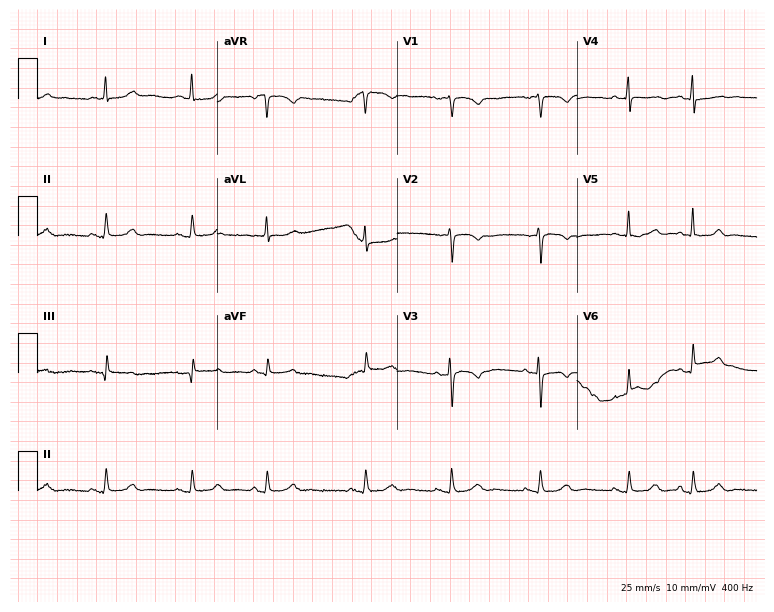
Resting 12-lead electrocardiogram. Patient: an 84-year-old female. None of these six findings is recorded: first-degree AV block, right bundle branch block, left bundle branch block, sinus bradycardia, atrial fibrillation, sinus tachycardia. Findings outside these six are not listed.